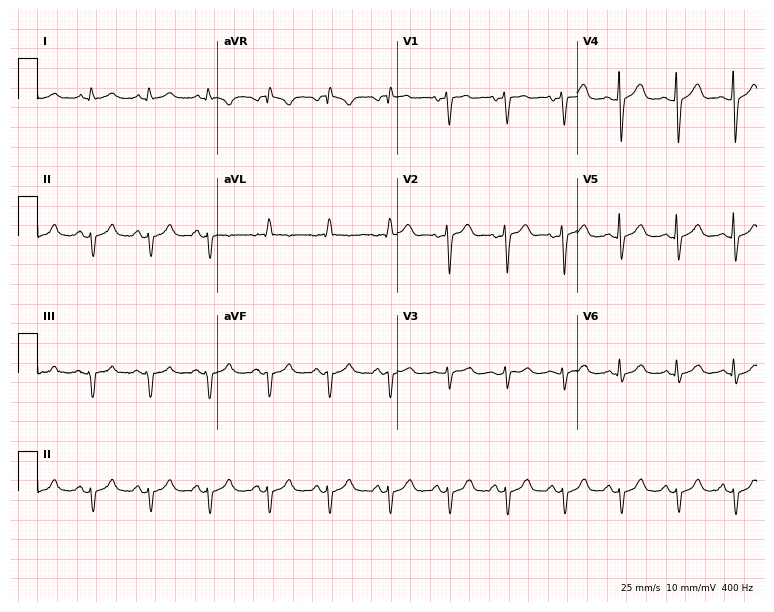
12-lead ECG from a male patient, 68 years old. Screened for six findings — first-degree AV block, right bundle branch block (RBBB), left bundle branch block (LBBB), sinus bradycardia, atrial fibrillation (AF), sinus tachycardia — none is recorded.